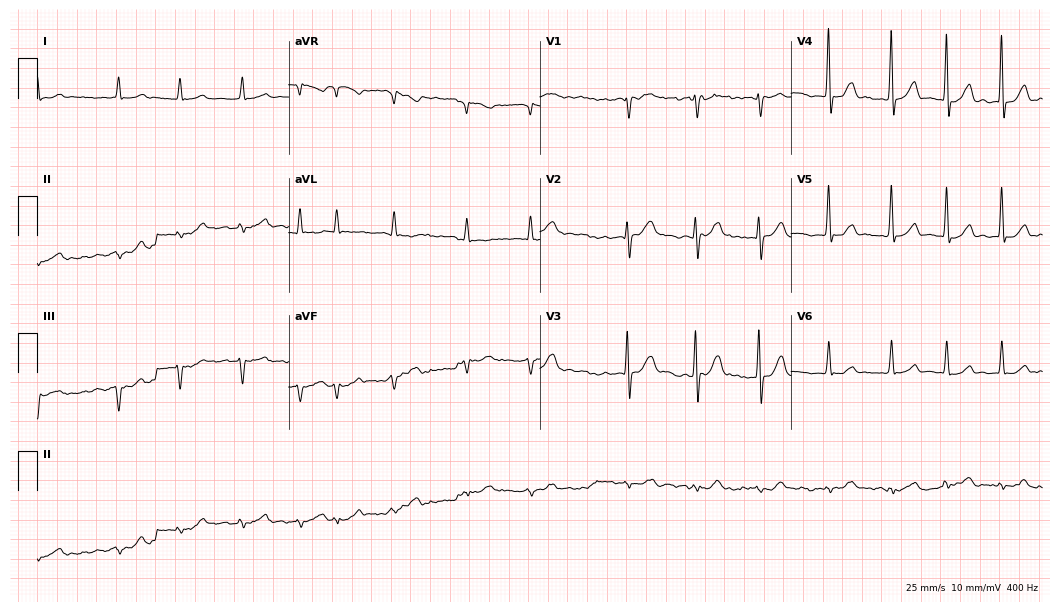
12-lead ECG from an 82-year-old male patient (10.2-second recording at 400 Hz). Shows atrial fibrillation (AF).